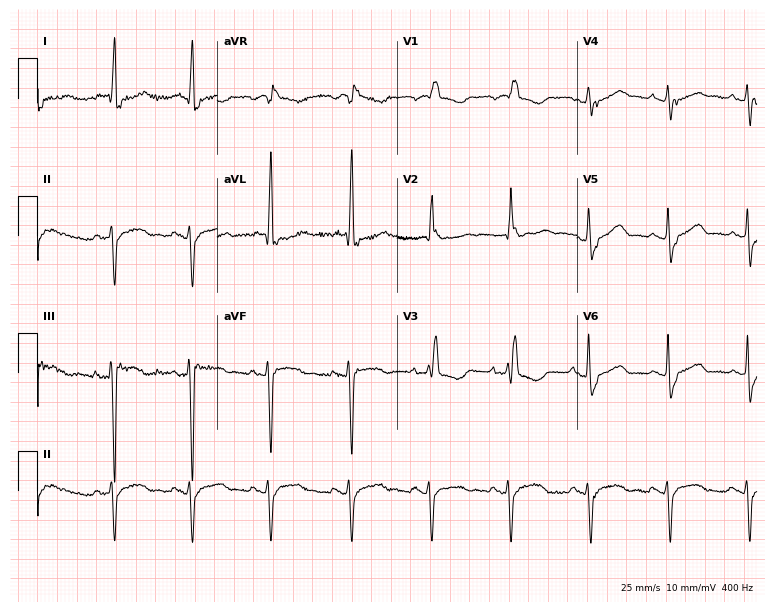
Resting 12-lead electrocardiogram. Patient: a 76-year-old woman. The tracing shows right bundle branch block.